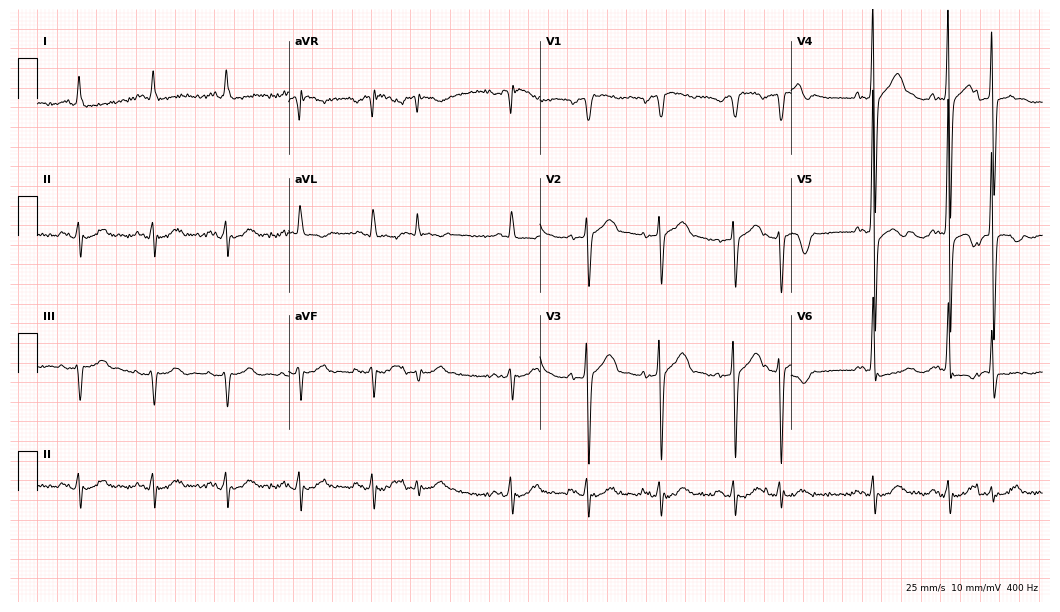
Resting 12-lead electrocardiogram (10.2-second recording at 400 Hz). Patient: a male, 76 years old. None of these six findings is recorded: first-degree AV block, right bundle branch block, left bundle branch block, sinus bradycardia, atrial fibrillation, sinus tachycardia. Only these six findings were labelled.